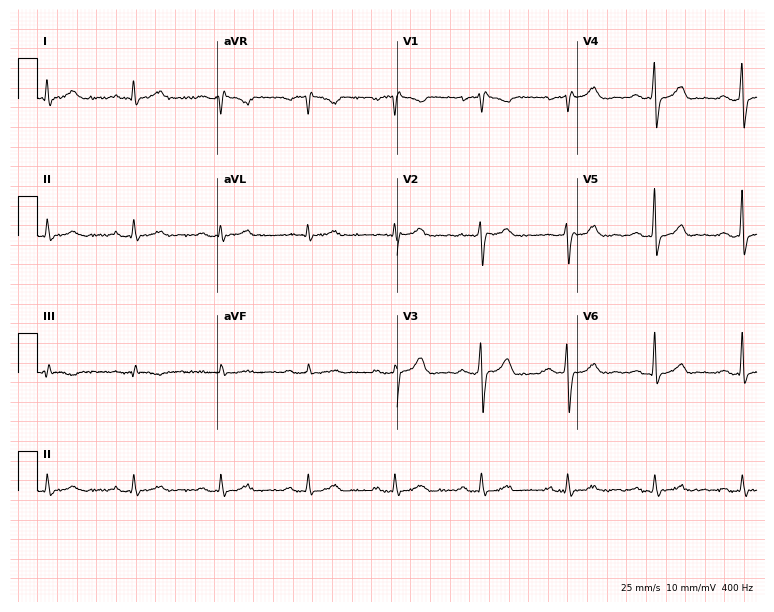
Electrocardiogram, a male, 54 years old. Overall reading on record: normal ECG.